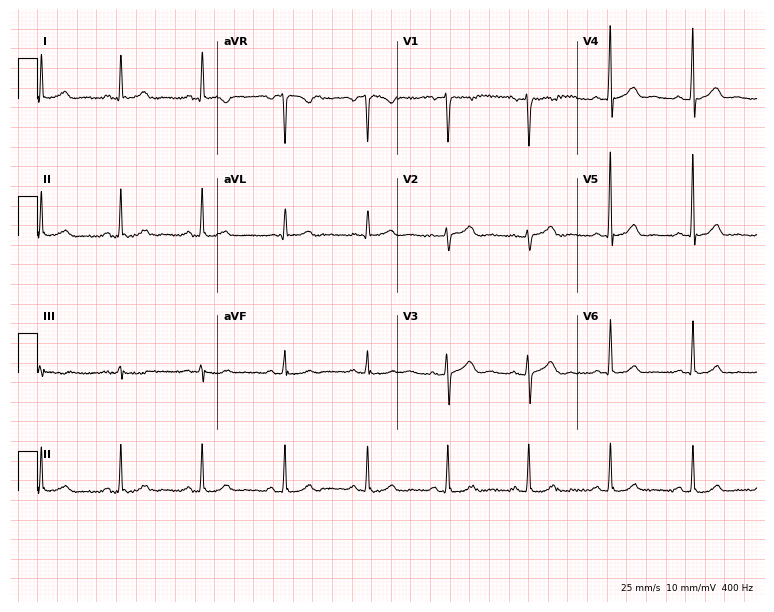
Resting 12-lead electrocardiogram. Patient: a female, 41 years old. Read as a normal ECG.